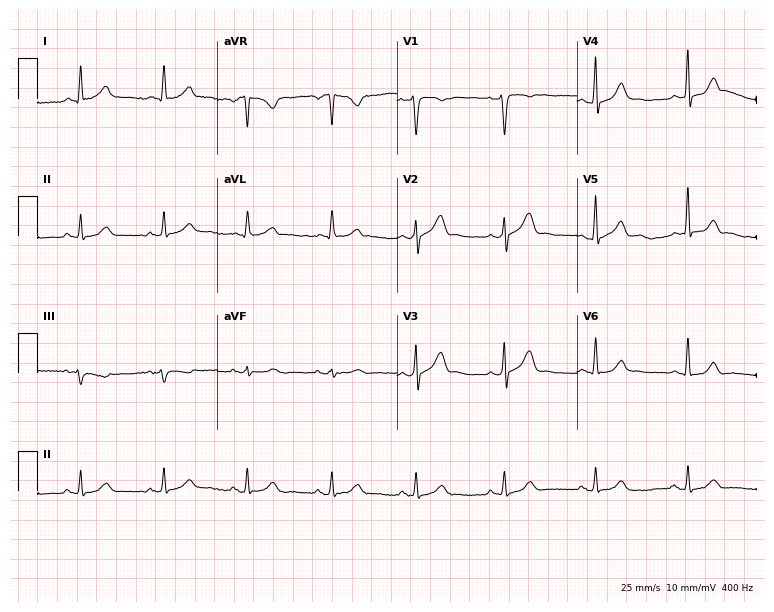
Electrocardiogram (7.3-second recording at 400 Hz), a 59-year-old male. Of the six screened findings (first-degree AV block, right bundle branch block, left bundle branch block, sinus bradycardia, atrial fibrillation, sinus tachycardia), none is recorded.